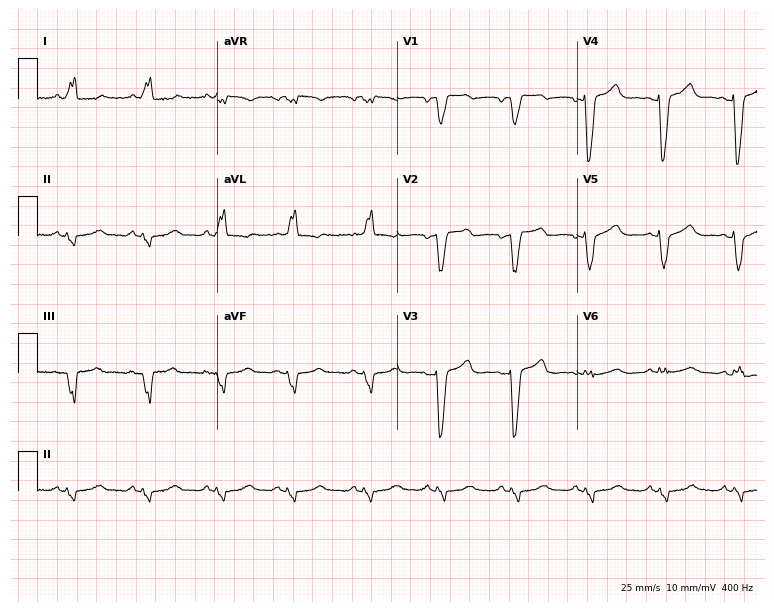
Electrocardiogram, a female, 84 years old. Interpretation includes left bundle branch block.